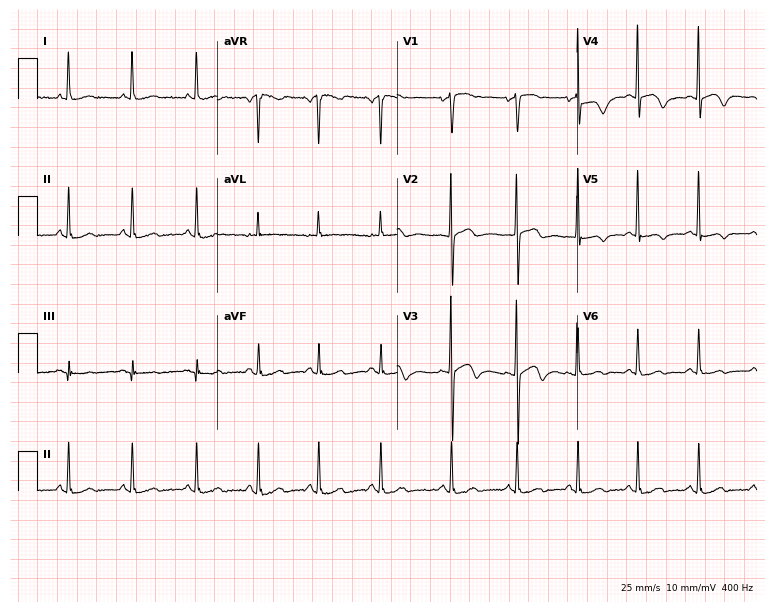
12-lead ECG from an 80-year-old woman (7.3-second recording at 400 Hz). No first-degree AV block, right bundle branch block, left bundle branch block, sinus bradycardia, atrial fibrillation or sinus tachycardia recorded for this tracing. Only these six findings were labelled.